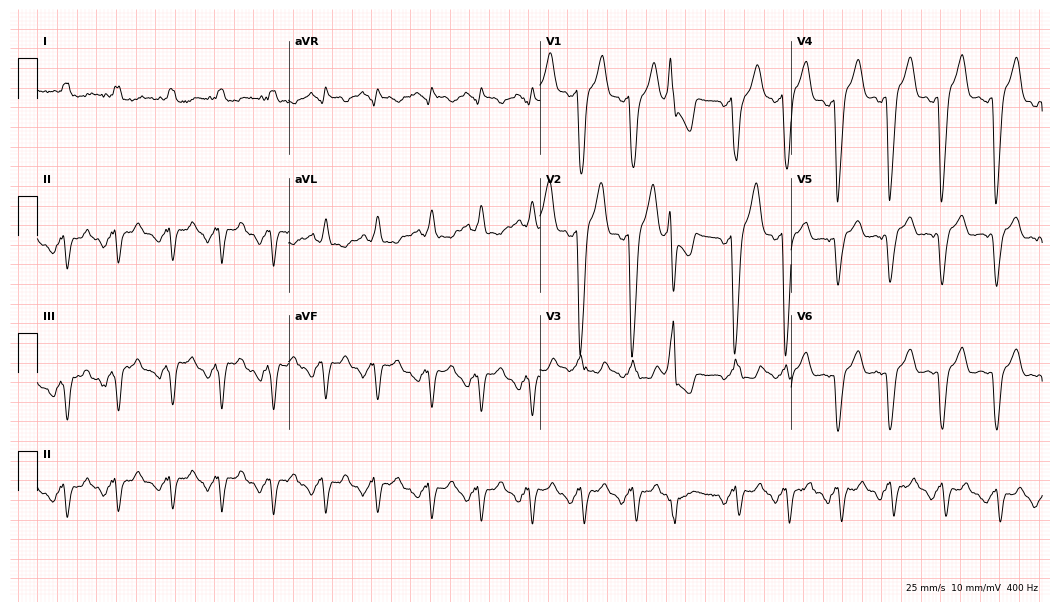
12-lead ECG from a female patient, 80 years old (10.2-second recording at 400 Hz). No first-degree AV block, right bundle branch block, left bundle branch block, sinus bradycardia, atrial fibrillation or sinus tachycardia recorded for this tracing. Only these six findings were labelled.